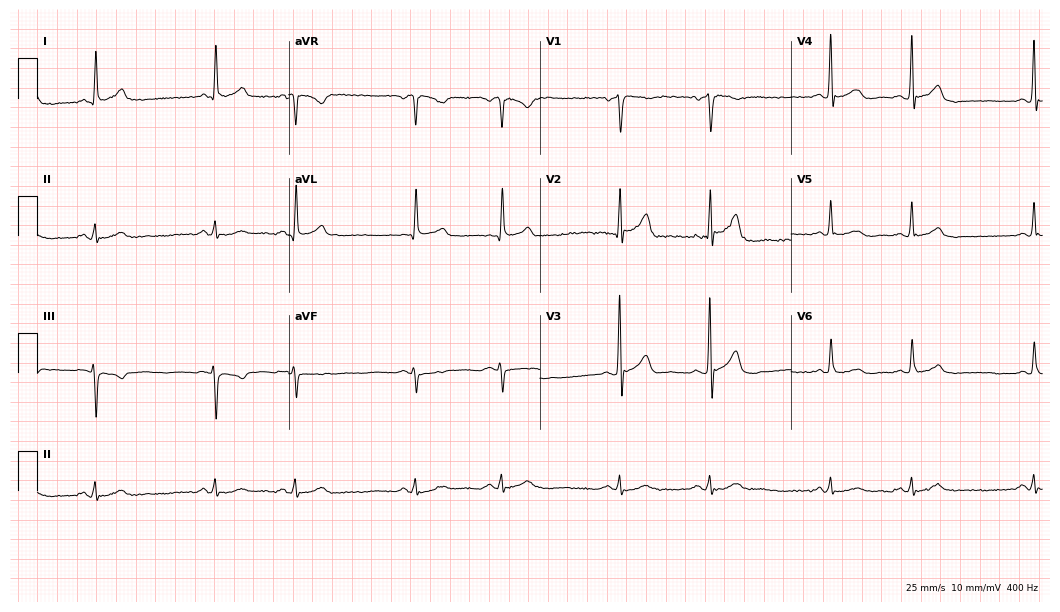
Resting 12-lead electrocardiogram. Patient: a man, 60 years old. Read as a normal ECG.